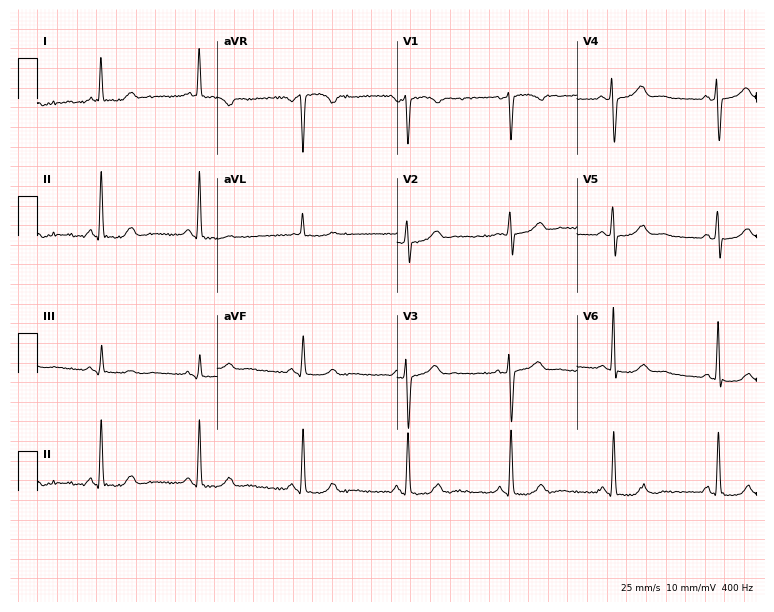
12-lead ECG from a 52-year-old woman (7.3-second recording at 400 Hz). No first-degree AV block, right bundle branch block (RBBB), left bundle branch block (LBBB), sinus bradycardia, atrial fibrillation (AF) or sinus tachycardia recorded for this tracing.